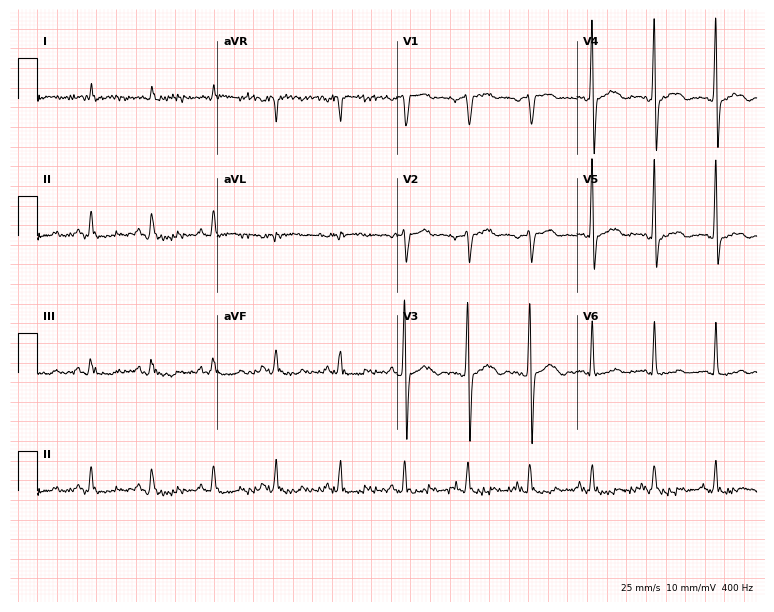
Standard 12-lead ECG recorded from a man, 54 years old (7.3-second recording at 400 Hz). None of these six findings is recorded: first-degree AV block, right bundle branch block, left bundle branch block, sinus bradycardia, atrial fibrillation, sinus tachycardia. Findings outside these six are not listed.